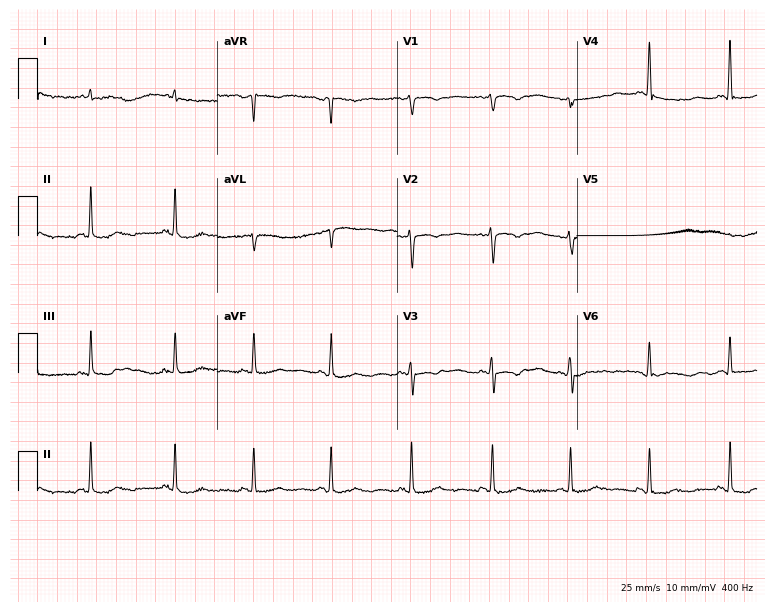
12-lead ECG from a 64-year-old female (7.3-second recording at 400 Hz). No first-degree AV block, right bundle branch block, left bundle branch block, sinus bradycardia, atrial fibrillation or sinus tachycardia recorded for this tracing. Findings outside these six are not listed.